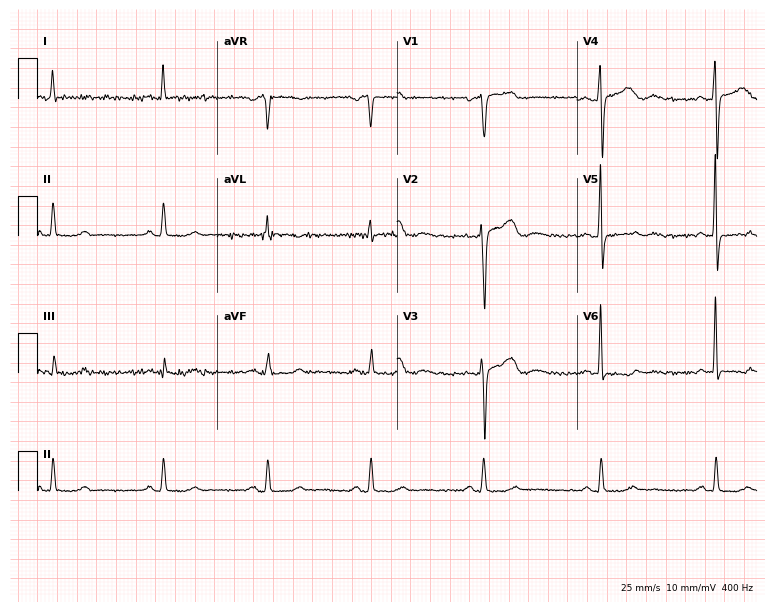
ECG (7.3-second recording at 400 Hz) — a 49-year-old female. Screened for six findings — first-degree AV block, right bundle branch block, left bundle branch block, sinus bradycardia, atrial fibrillation, sinus tachycardia — none is recorded.